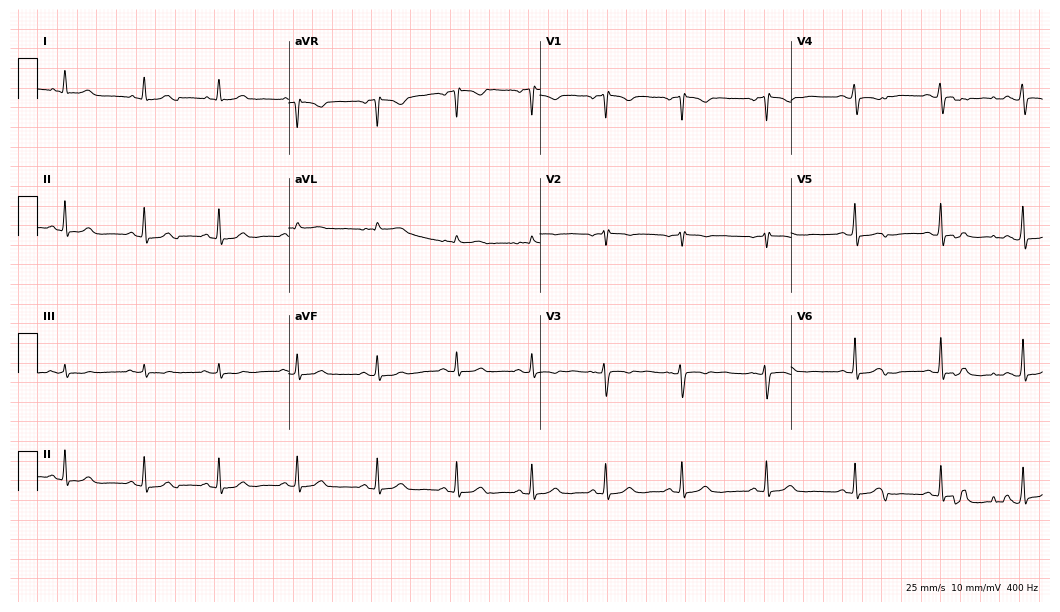
12-lead ECG from a female, 41 years old (10.2-second recording at 400 Hz). No first-degree AV block, right bundle branch block (RBBB), left bundle branch block (LBBB), sinus bradycardia, atrial fibrillation (AF) or sinus tachycardia recorded for this tracing. Findings outside these six are not listed.